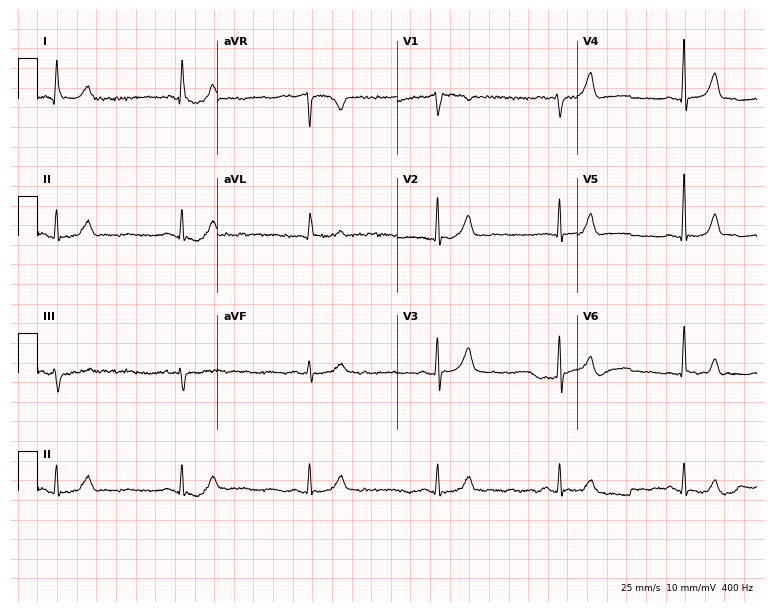
12-lead ECG from a female, 69 years old. Findings include sinus bradycardia (a sinus rate of 50 beats per minute or less).